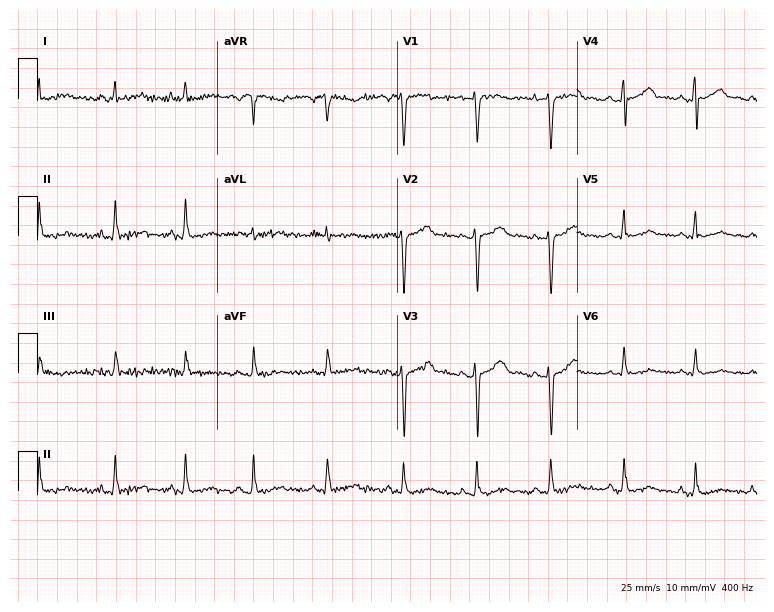
Electrocardiogram (7.3-second recording at 400 Hz), a female patient, 48 years old. Of the six screened findings (first-degree AV block, right bundle branch block, left bundle branch block, sinus bradycardia, atrial fibrillation, sinus tachycardia), none is recorded. Other findings, if any, are not listed.